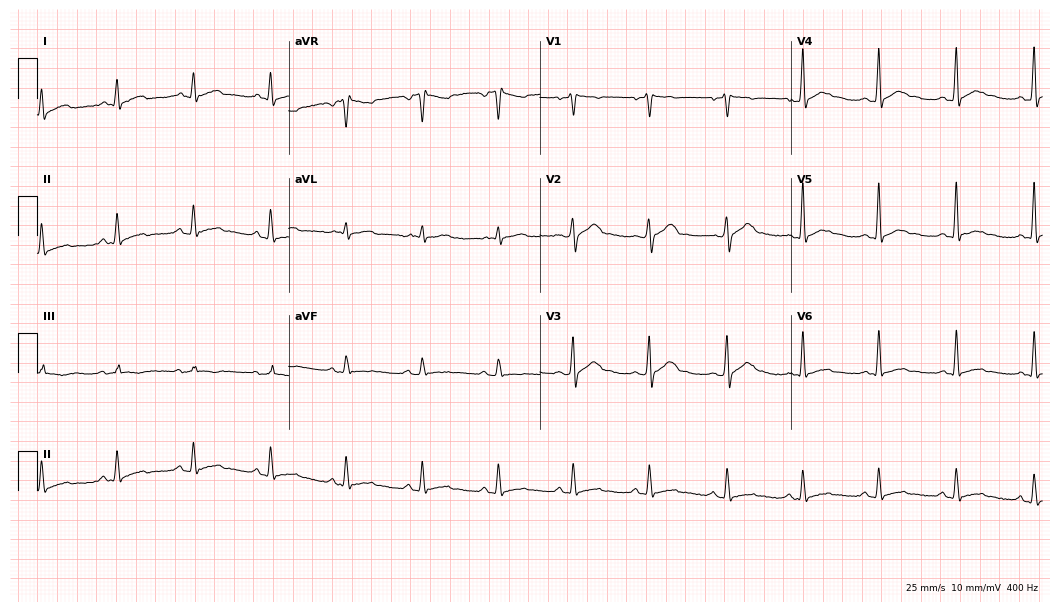
Standard 12-lead ECG recorded from a male, 43 years old. Read as a normal ECG.